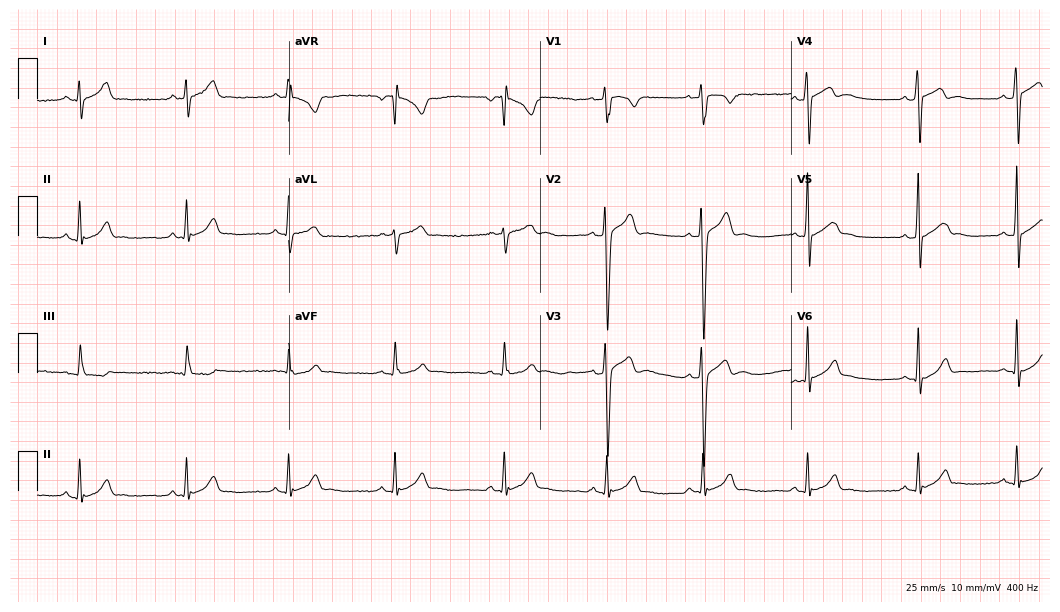
ECG — a man, 19 years old. Labelled as a normal ECG.